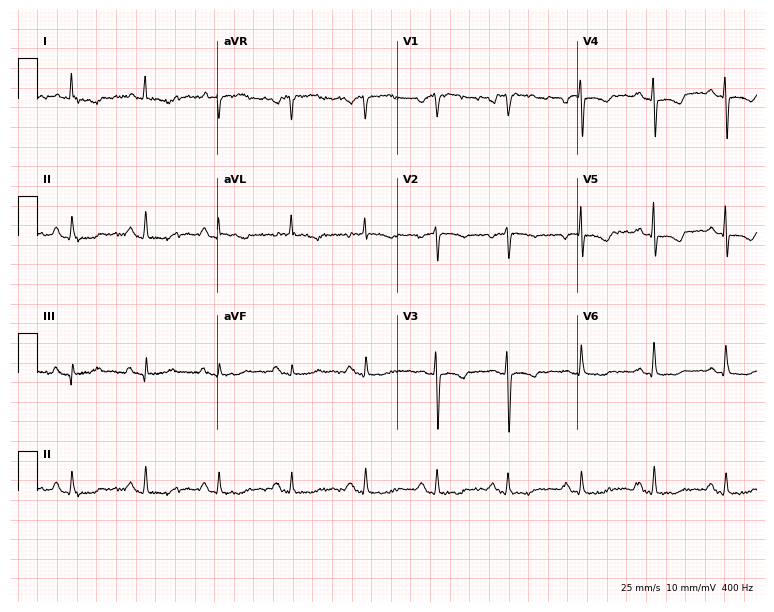
Standard 12-lead ECG recorded from an 80-year-old female patient (7.3-second recording at 400 Hz). None of these six findings is recorded: first-degree AV block, right bundle branch block, left bundle branch block, sinus bradycardia, atrial fibrillation, sinus tachycardia. Other findings, if any, are not listed.